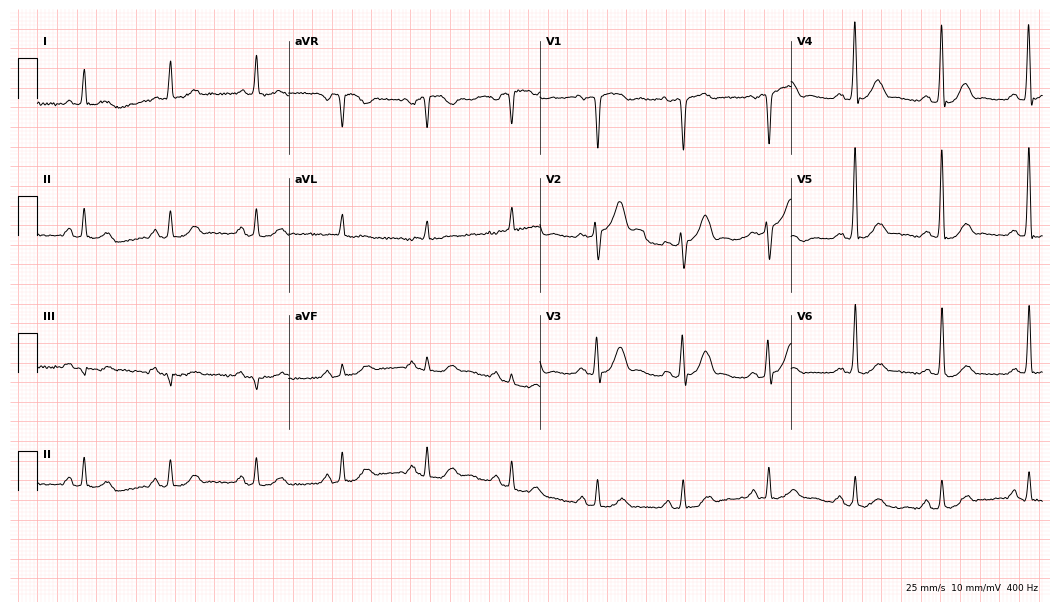
12-lead ECG (10.2-second recording at 400 Hz) from a male, 82 years old. Labelled as a normal ECG.